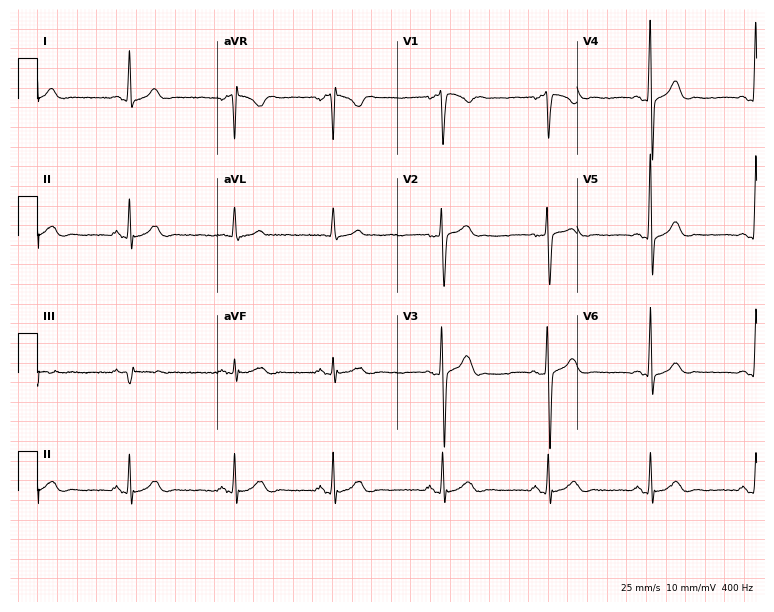
ECG (7.3-second recording at 400 Hz) — a man, 49 years old. Labelled as a normal ECG.